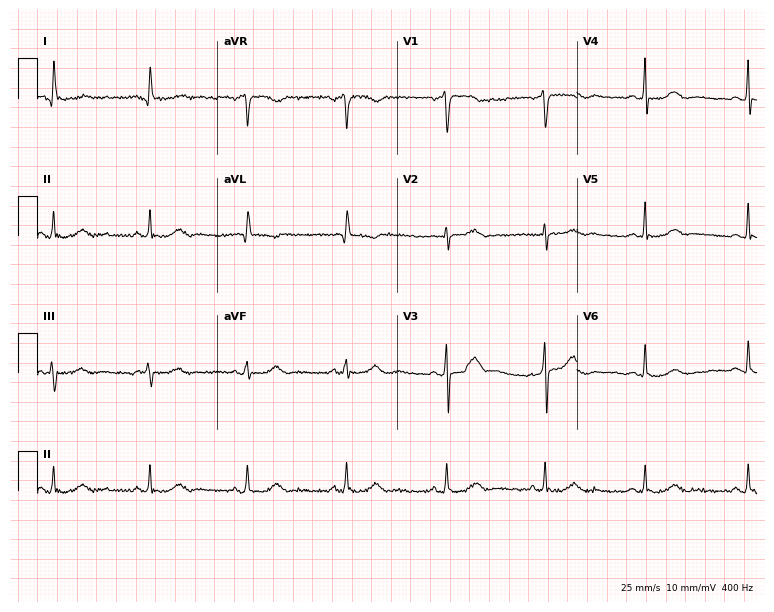
Electrocardiogram (7.3-second recording at 400 Hz), a woman, 54 years old. Of the six screened findings (first-degree AV block, right bundle branch block, left bundle branch block, sinus bradycardia, atrial fibrillation, sinus tachycardia), none is recorded.